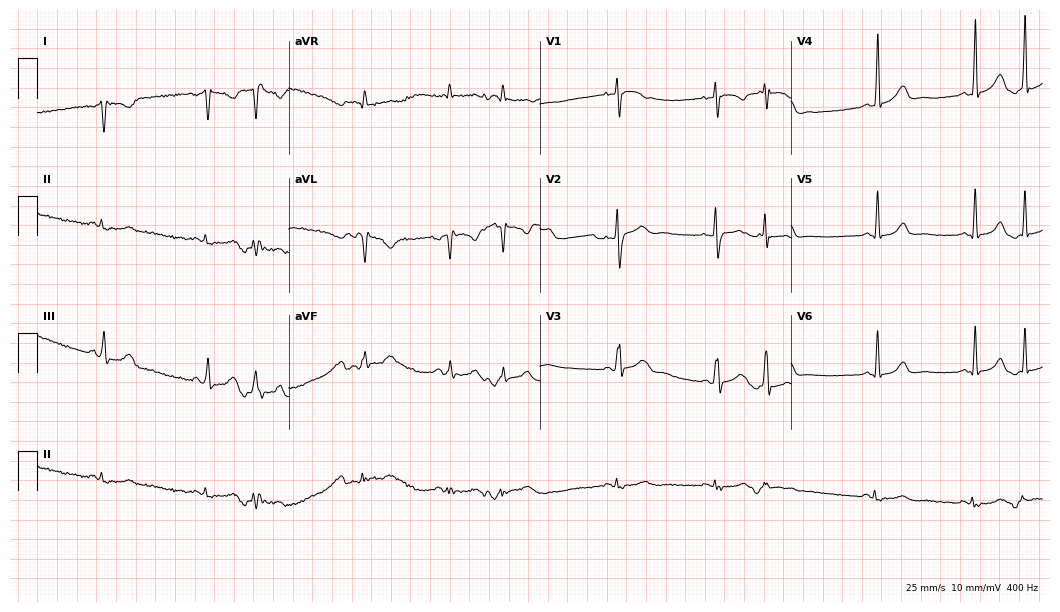
12-lead ECG from a female patient, 32 years old. Screened for six findings — first-degree AV block, right bundle branch block, left bundle branch block, sinus bradycardia, atrial fibrillation, sinus tachycardia — none is recorded. Only these six findings were labelled.